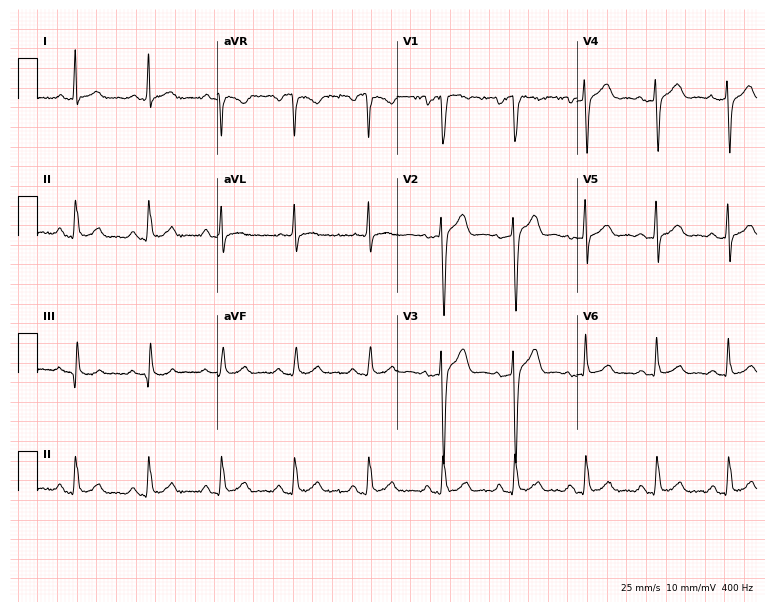
Standard 12-lead ECG recorded from a 49-year-old male (7.3-second recording at 400 Hz). Read as a normal ECG.